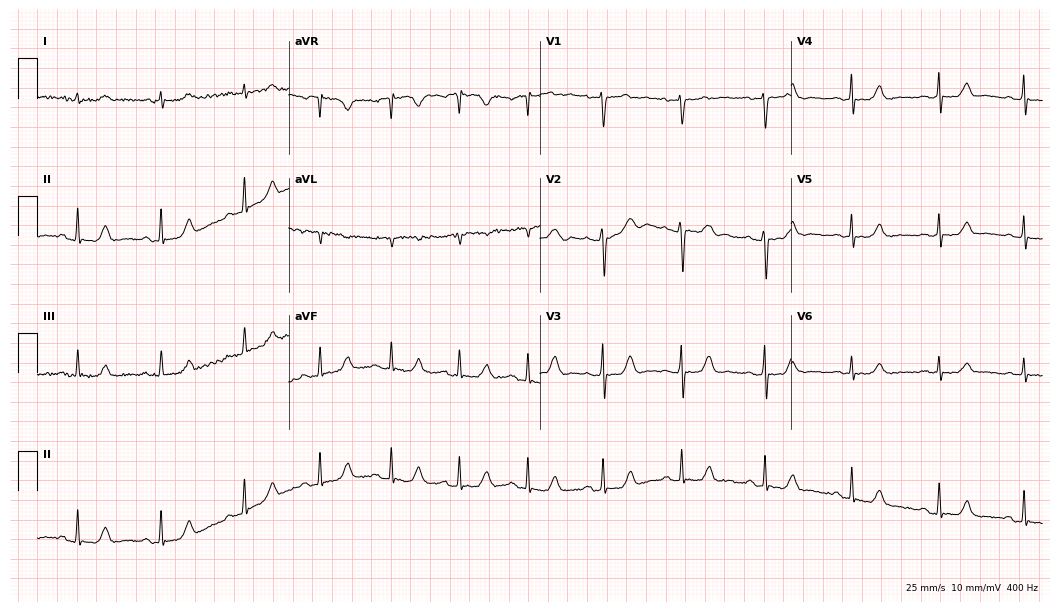
Resting 12-lead electrocardiogram. Patient: a 57-year-old female. None of these six findings is recorded: first-degree AV block, right bundle branch block (RBBB), left bundle branch block (LBBB), sinus bradycardia, atrial fibrillation (AF), sinus tachycardia.